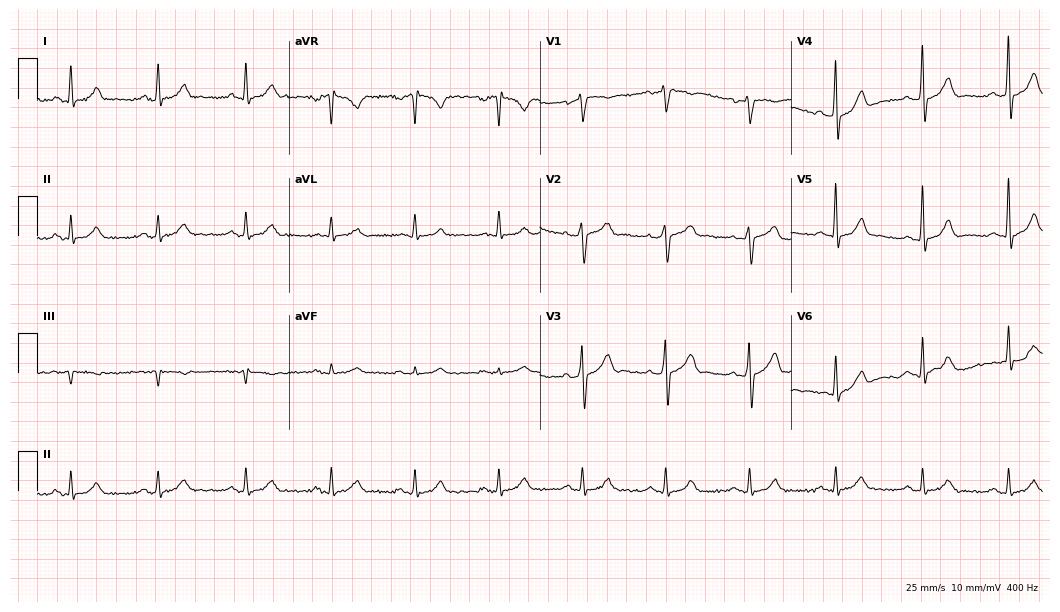
12-lead ECG from a male patient, 51 years old. Labelled as a normal ECG.